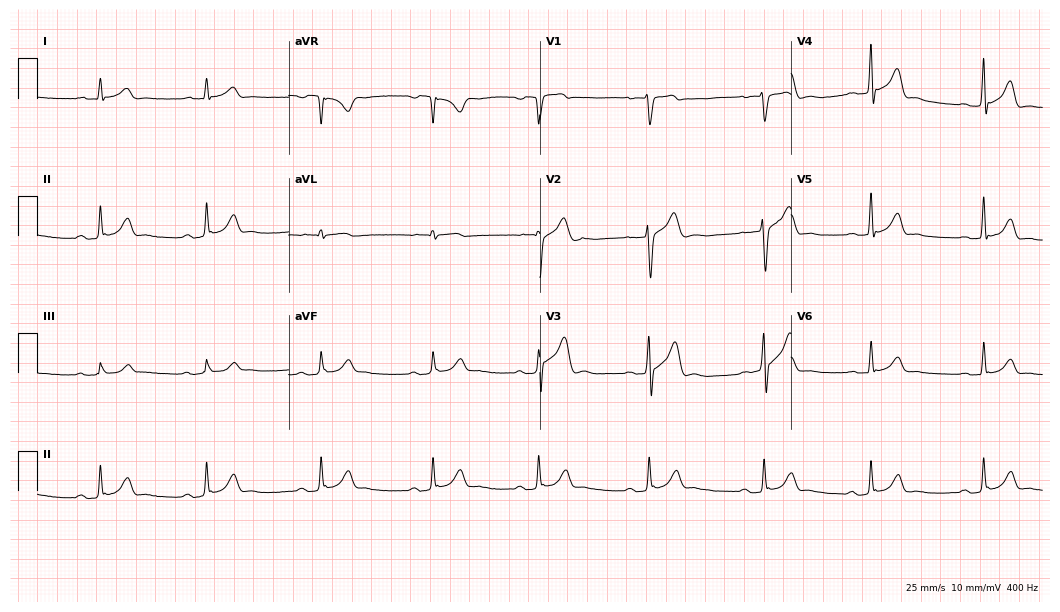
Resting 12-lead electrocardiogram (10.2-second recording at 400 Hz). Patient: a 31-year-old male. None of these six findings is recorded: first-degree AV block, right bundle branch block, left bundle branch block, sinus bradycardia, atrial fibrillation, sinus tachycardia.